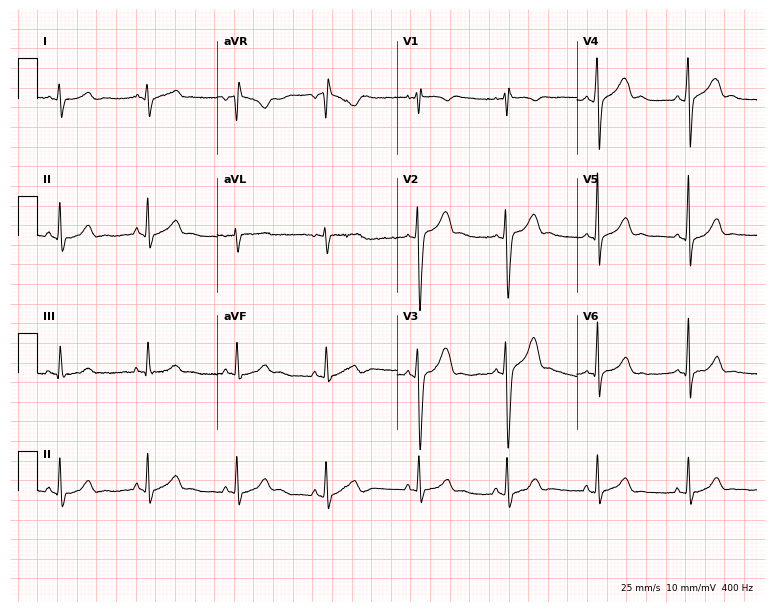
Resting 12-lead electrocardiogram (7.3-second recording at 400 Hz). Patient: a man, 18 years old. None of these six findings is recorded: first-degree AV block, right bundle branch block, left bundle branch block, sinus bradycardia, atrial fibrillation, sinus tachycardia. Only these six findings were labelled.